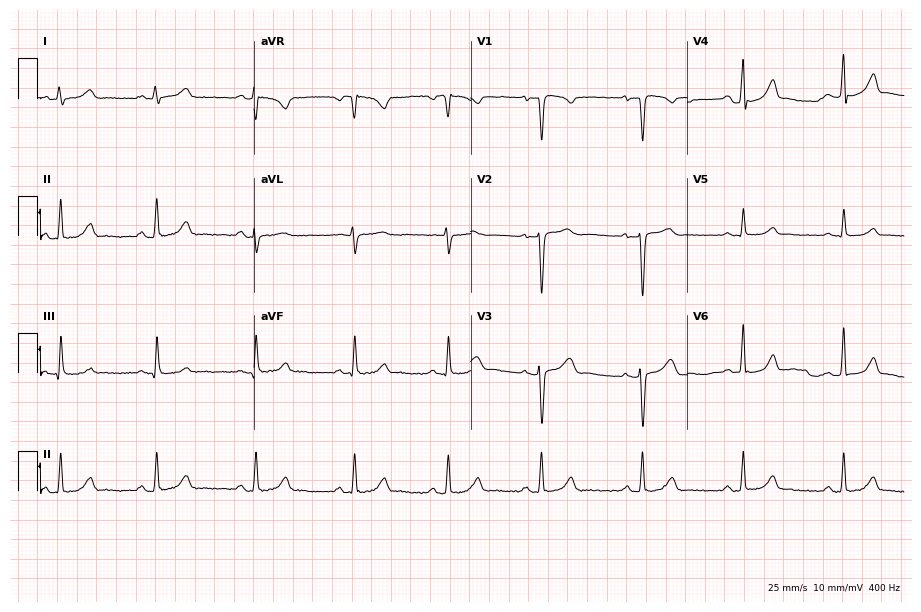
12-lead ECG (8.8-second recording at 400 Hz) from a female patient, 22 years old. Labelled as a normal ECG.